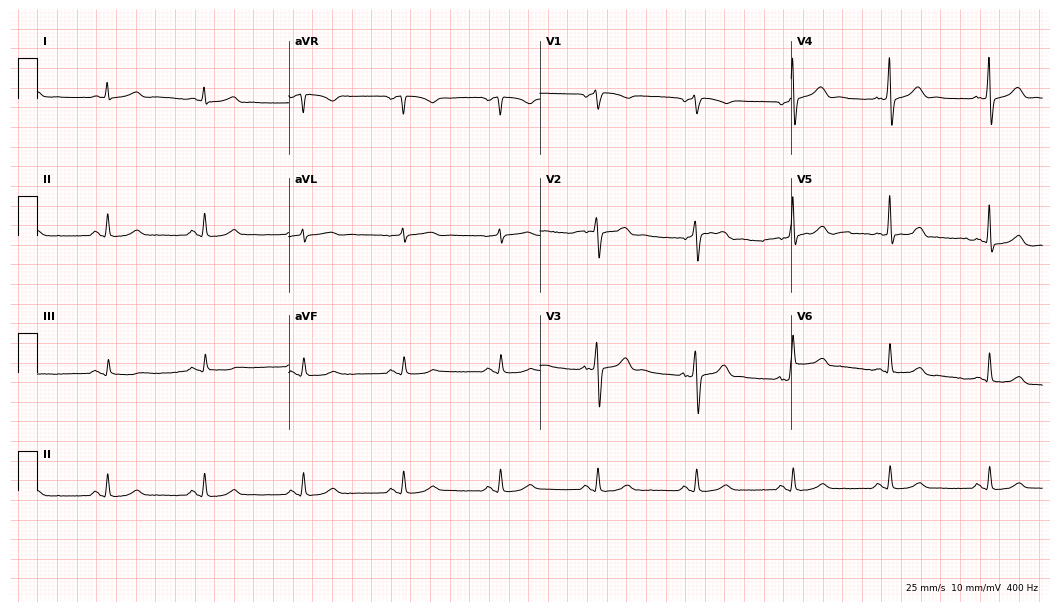
ECG (10.2-second recording at 400 Hz) — a man, 57 years old. Labelled as a normal ECG.